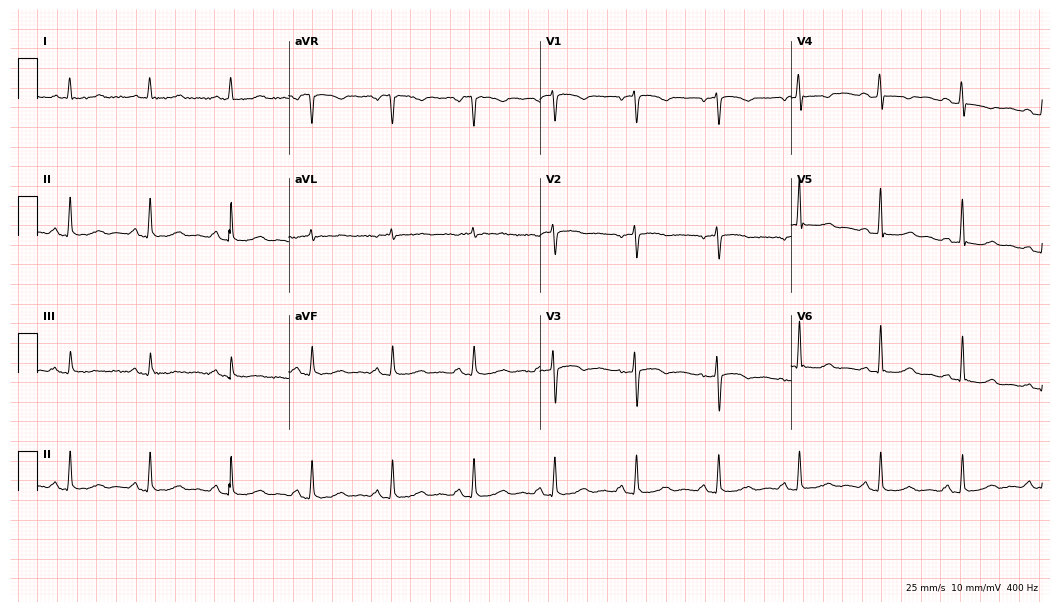
Resting 12-lead electrocardiogram (10.2-second recording at 400 Hz). Patient: a 48-year-old female. Read as a normal ECG.